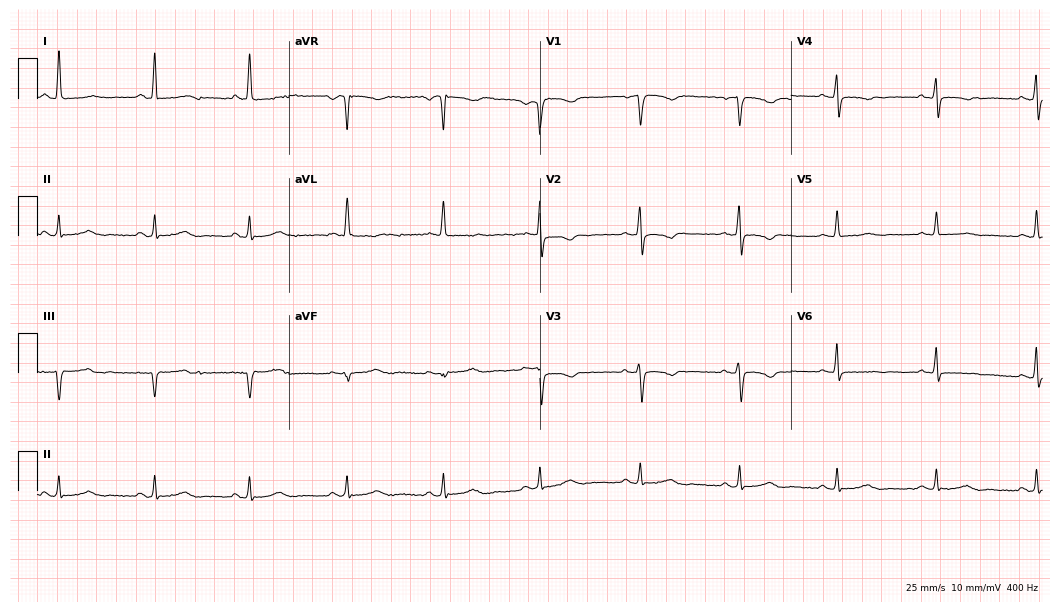
Electrocardiogram (10.2-second recording at 400 Hz), a woman, 58 years old. Of the six screened findings (first-degree AV block, right bundle branch block (RBBB), left bundle branch block (LBBB), sinus bradycardia, atrial fibrillation (AF), sinus tachycardia), none is recorded. Only these six findings were labelled.